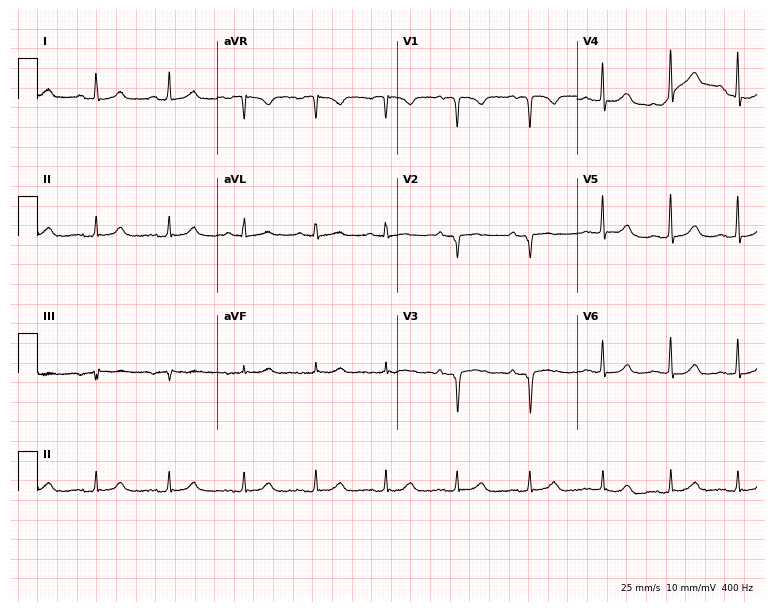
Electrocardiogram, a female patient, 49 years old. Of the six screened findings (first-degree AV block, right bundle branch block (RBBB), left bundle branch block (LBBB), sinus bradycardia, atrial fibrillation (AF), sinus tachycardia), none is recorded.